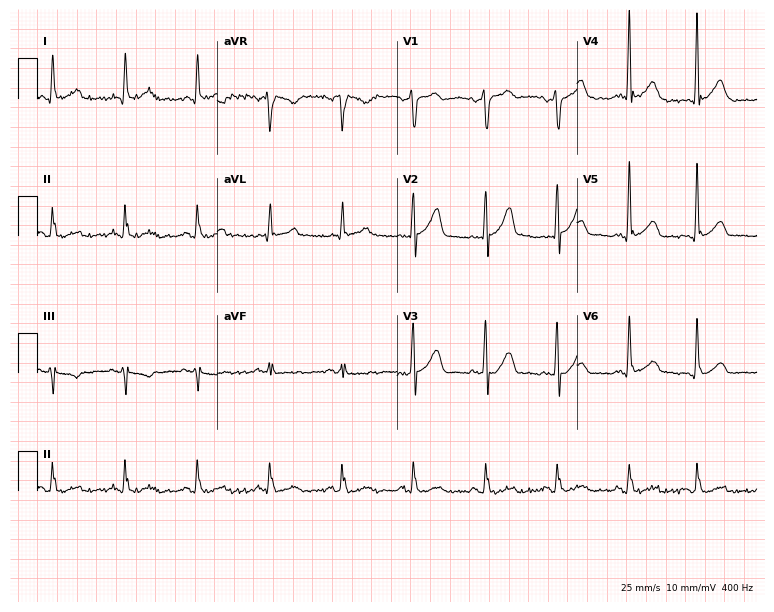
Standard 12-lead ECG recorded from a 59-year-old male (7.3-second recording at 400 Hz). None of these six findings is recorded: first-degree AV block, right bundle branch block, left bundle branch block, sinus bradycardia, atrial fibrillation, sinus tachycardia.